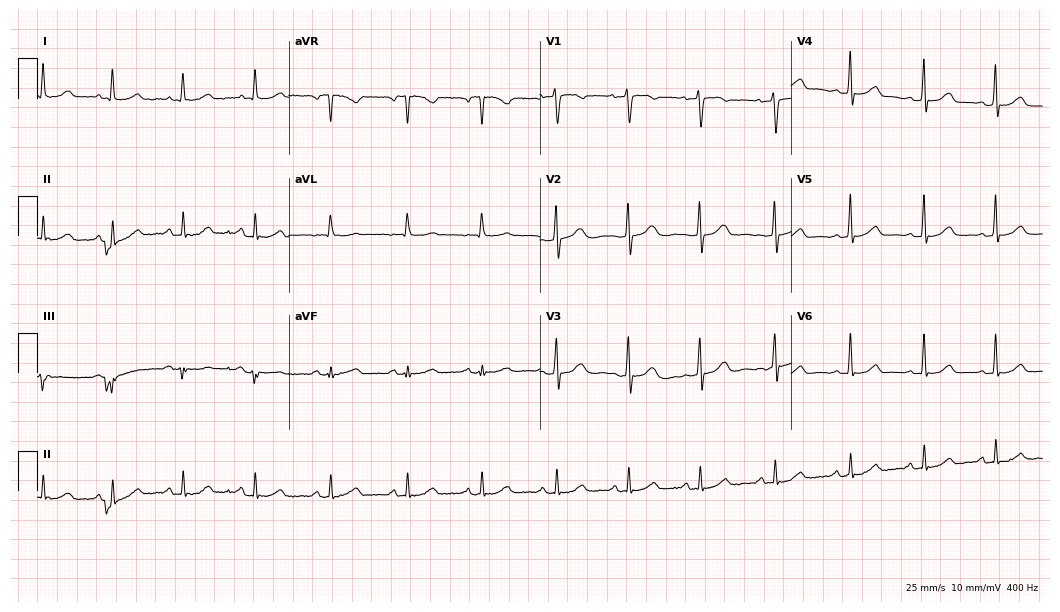
Standard 12-lead ECG recorded from a female, 51 years old (10.2-second recording at 400 Hz). Read as a normal ECG.